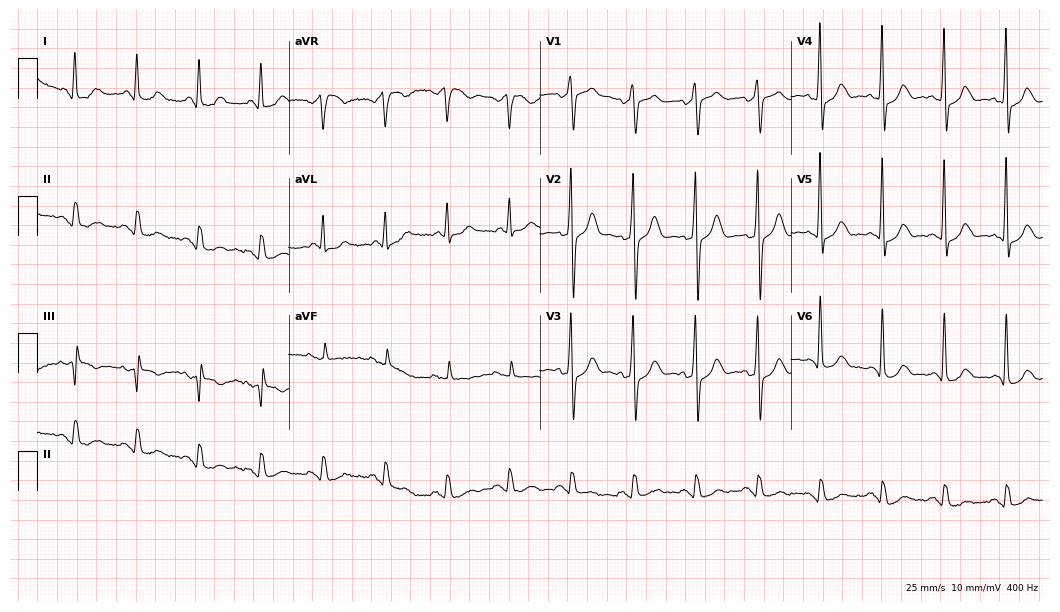
12-lead ECG from an 81-year-old woman (10.2-second recording at 400 Hz). No first-degree AV block, right bundle branch block (RBBB), left bundle branch block (LBBB), sinus bradycardia, atrial fibrillation (AF) or sinus tachycardia recorded for this tracing. Other findings, if any, are not listed.